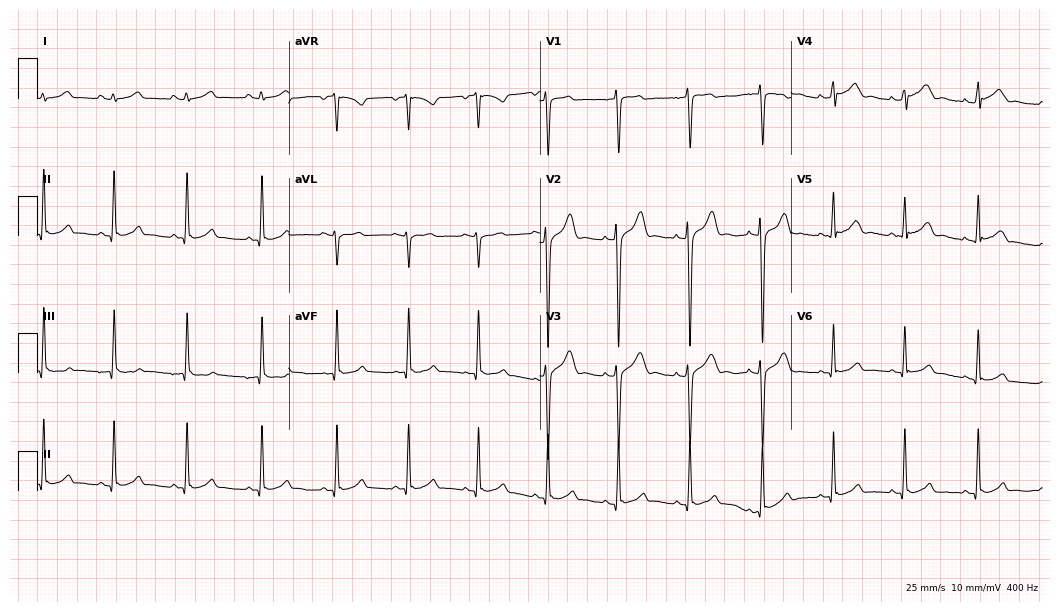
12-lead ECG (10.2-second recording at 400 Hz) from a man, 24 years old. Labelled as a normal ECG.